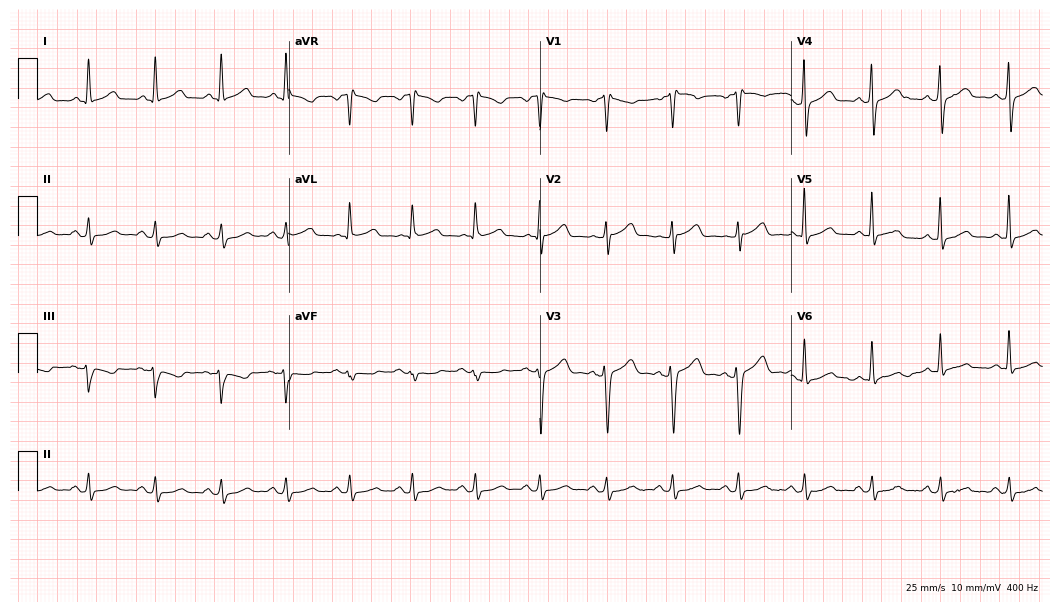
12-lead ECG from a woman, 41 years old (10.2-second recording at 400 Hz). No first-degree AV block, right bundle branch block (RBBB), left bundle branch block (LBBB), sinus bradycardia, atrial fibrillation (AF) or sinus tachycardia recorded for this tracing.